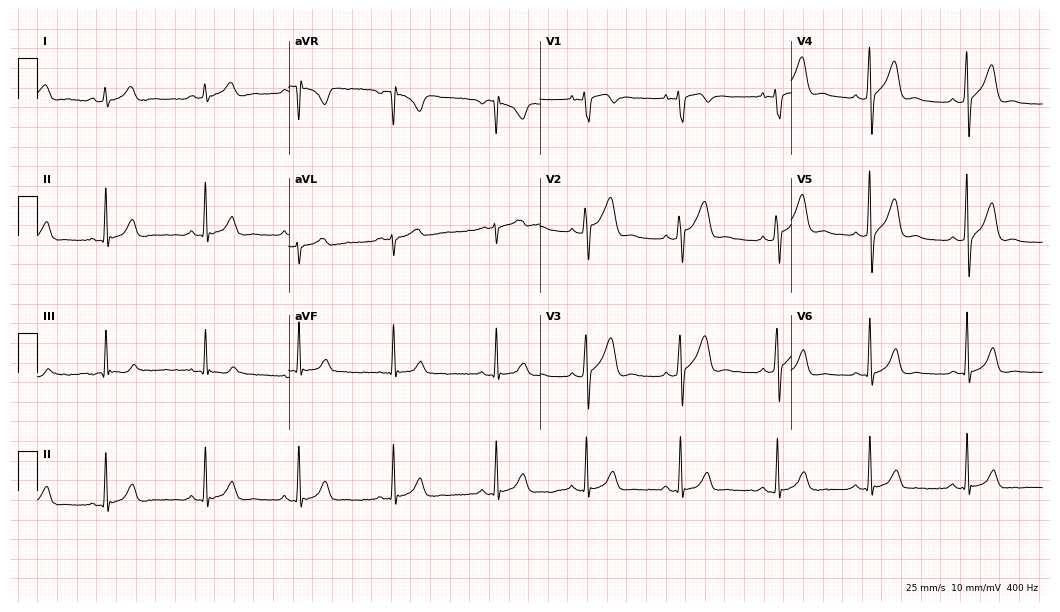
12-lead ECG from a 19-year-old male patient. Recorded interpretation: within normal limits.